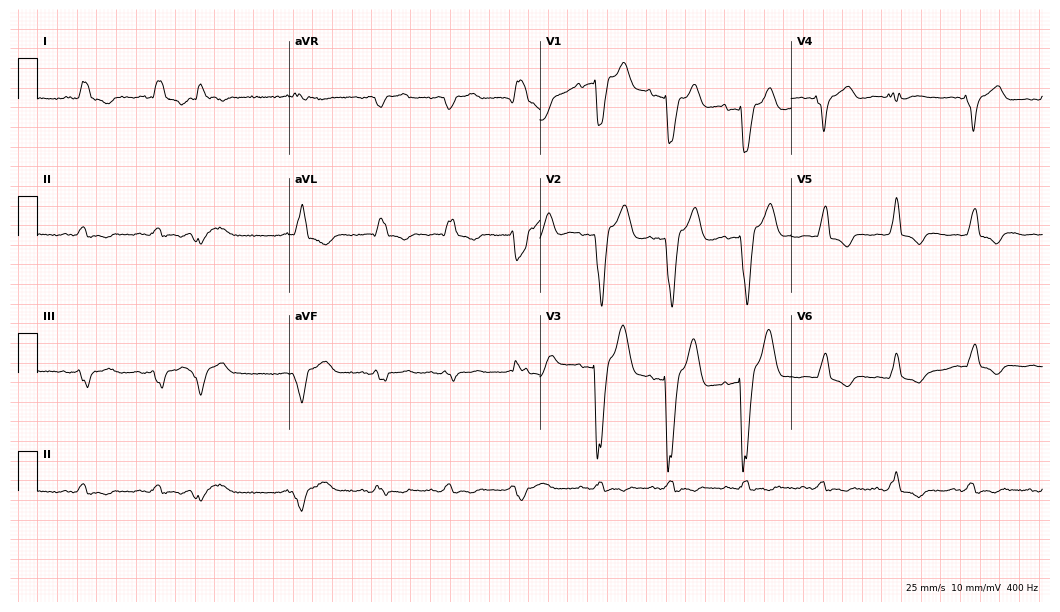
Resting 12-lead electrocardiogram (10.2-second recording at 400 Hz). Patient: a female, 82 years old. None of these six findings is recorded: first-degree AV block, right bundle branch block, left bundle branch block, sinus bradycardia, atrial fibrillation, sinus tachycardia. Findings outside these six are not listed.